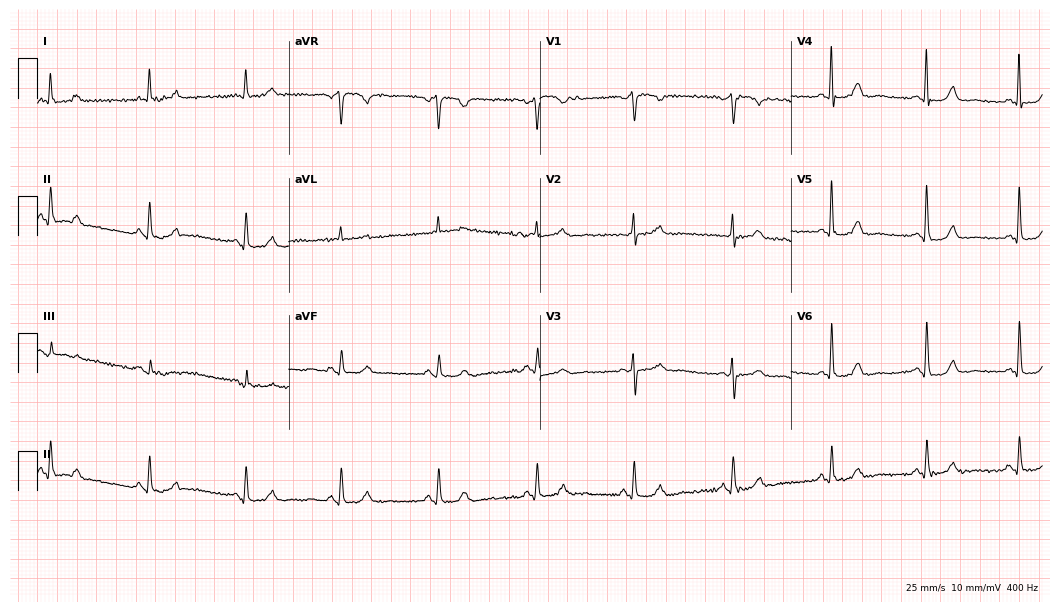
ECG (10.2-second recording at 400 Hz) — a 75-year-old female. Labelled as a normal ECG.